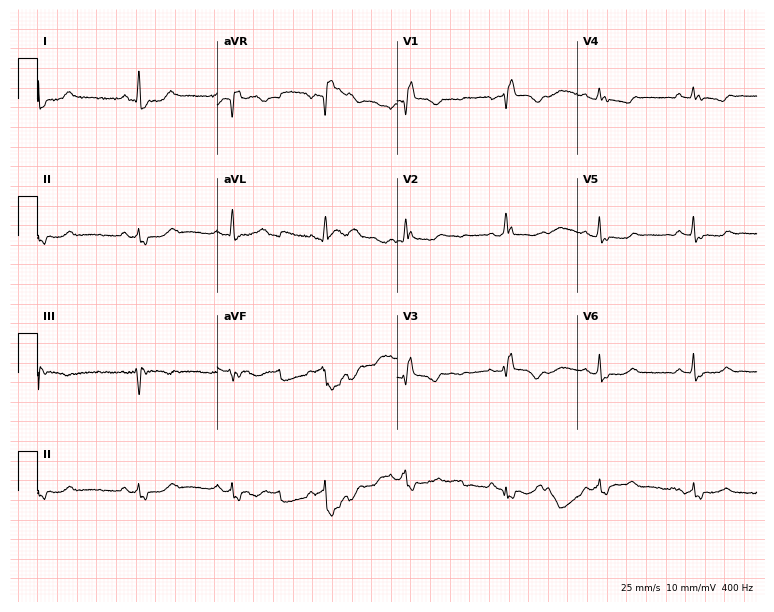
ECG — a female patient, 67 years old. Findings include right bundle branch block (RBBB).